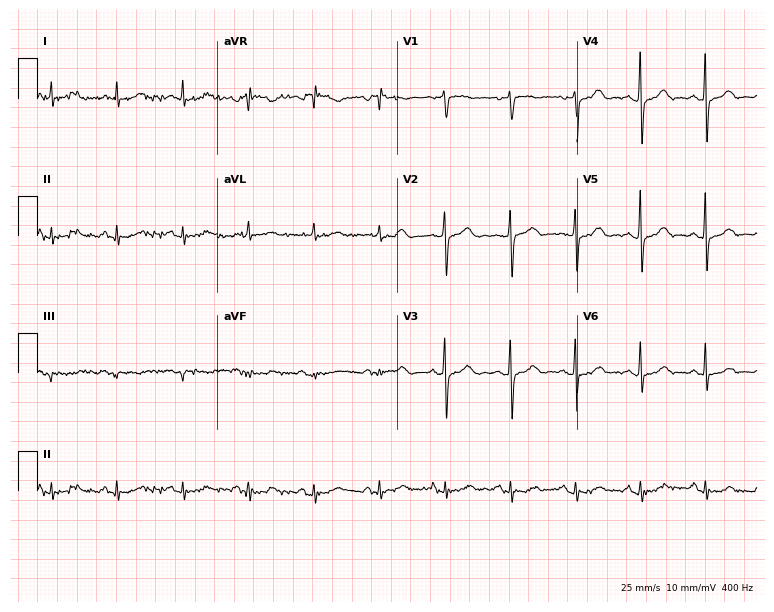
12-lead ECG from a woman, 78 years old (7.3-second recording at 400 Hz). No first-degree AV block, right bundle branch block, left bundle branch block, sinus bradycardia, atrial fibrillation or sinus tachycardia recorded for this tracing.